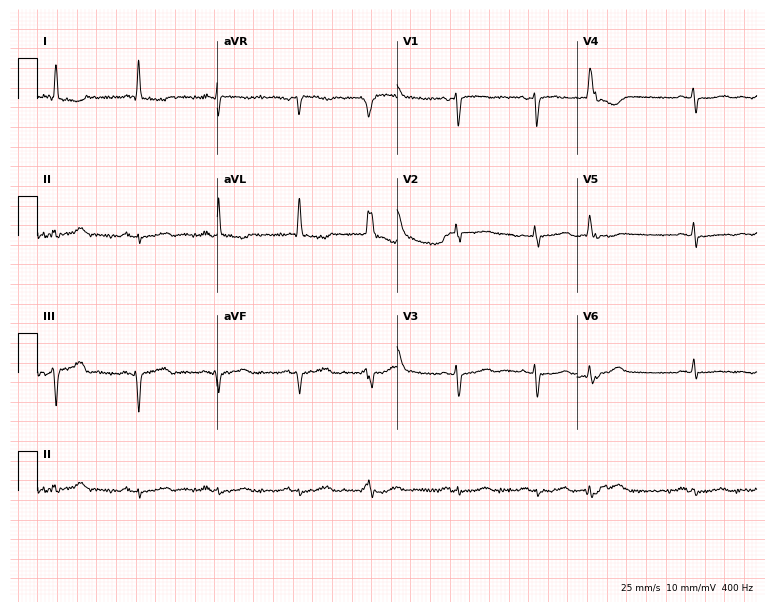
Resting 12-lead electrocardiogram (7.3-second recording at 400 Hz). Patient: a woman, 72 years old. Read as a normal ECG.